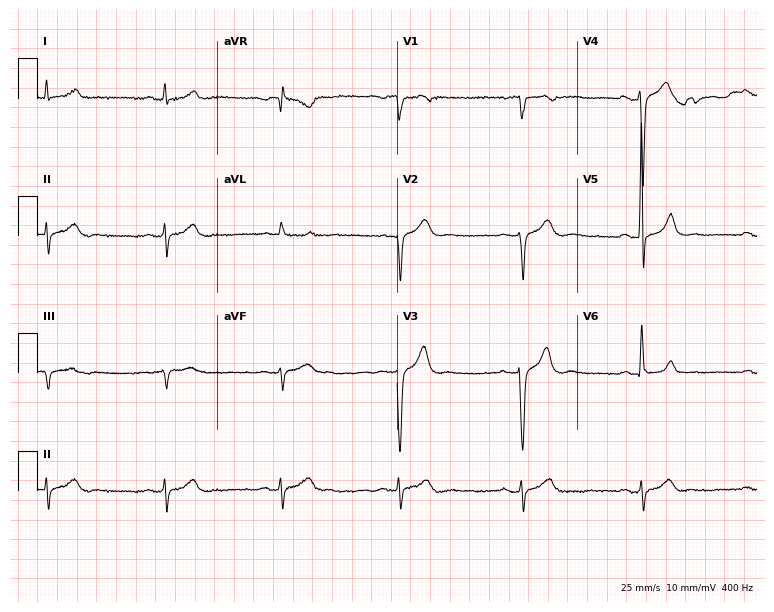
12-lead ECG from a 48-year-old male patient. Shows sinus bradycardia (a sinus rate of 50 beats per minute or less).